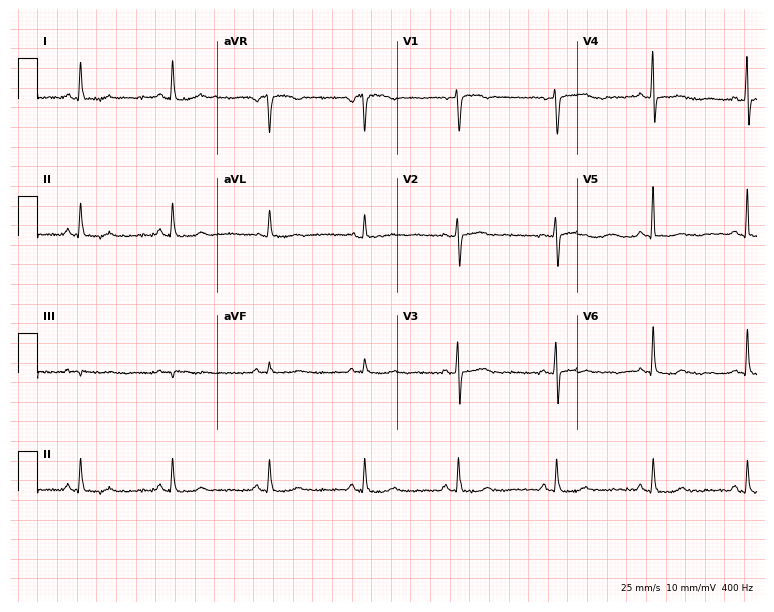
Standard 12-lead ECG recorded from a 70-year-old female patient (7.3-second recording at 400 Hz). Read as a normal ECG.